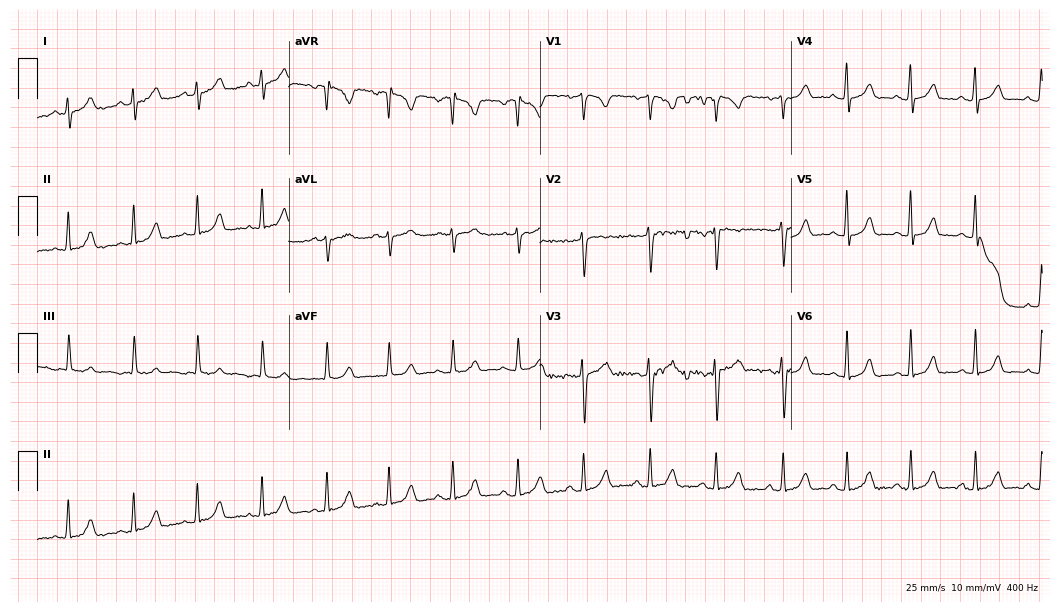
Resting 12-lead electrocardiogram. Patient: a 23-year-old female. Read as a normal ECG.